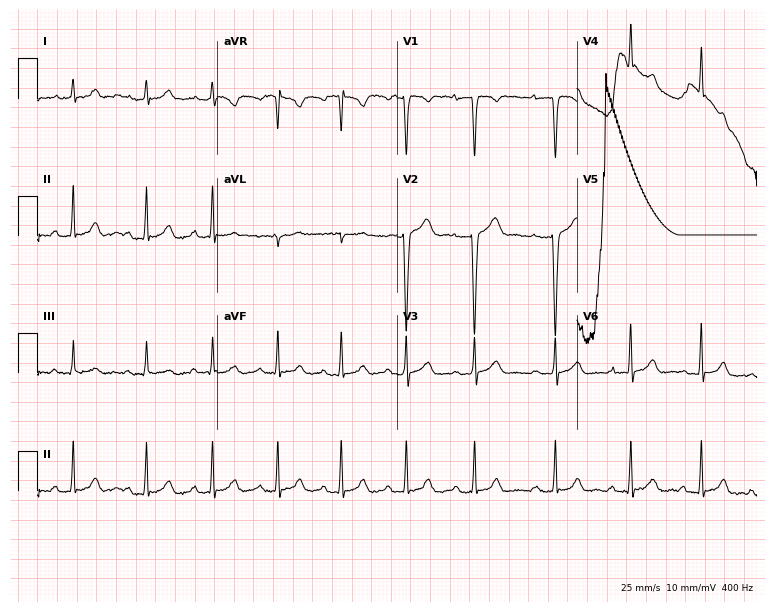
Resting 12-lead electrocardiogram. Patient: a female, 26 years old. The tracing shows first-degree AV block.